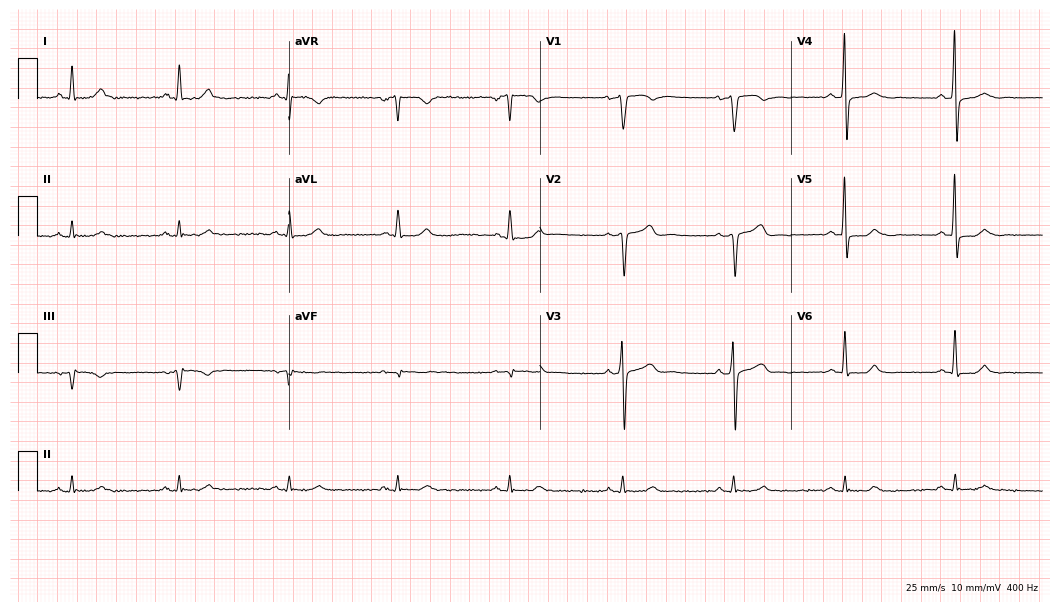
ECG — a man, 70 years old. Screened for six findings — first-degree AV block, right bundle branch block, left bundle branch block, sinus bradycardia, atrial fibrillation, sinus tachycardia — none is recorded.